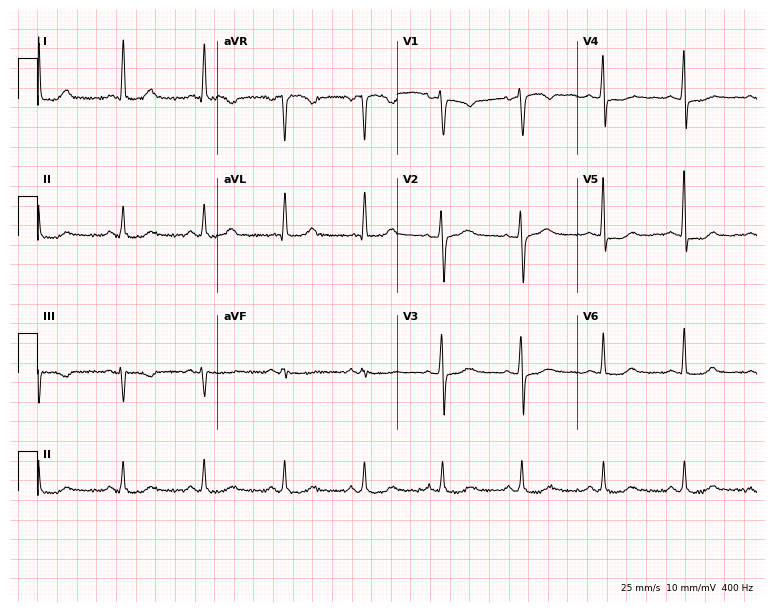
Electrocardiogram, a female, 57 years old. Of the six screened findings (first-degree AV block, right bundle branch block, left bundle branch block, sinus bradycardia, atrial fibrillation, sinus tachycardia), none is recorded. Findings outside these six are not listed.